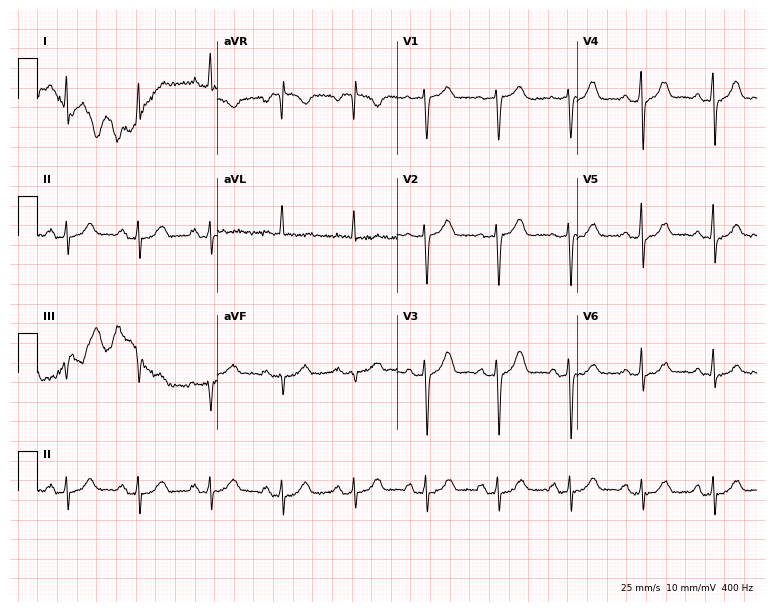
12-lead ECG from a female, 62 years old. Screened for six findings — first-degree AV block, right bundle branch block, left bundle branch block, sinus bradycardia, atrial fibrillation, sinus tachycardia — none is recorded. Only these six findings were labelled.